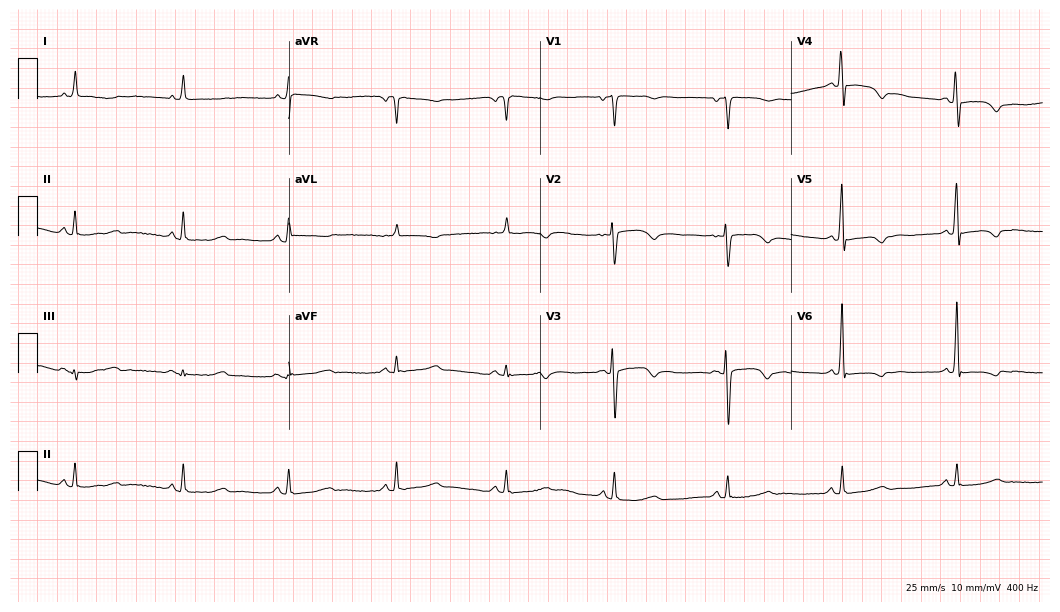
12-lead ECG (10.2-second recording at 400 Hz) from a female, 63 years old. Screened for six findings — first-degree AV block, right bundle branch block, left bundle branch block, sinus bradycardia, atrial fibrillation, sinus tachycardia — none is recorded.